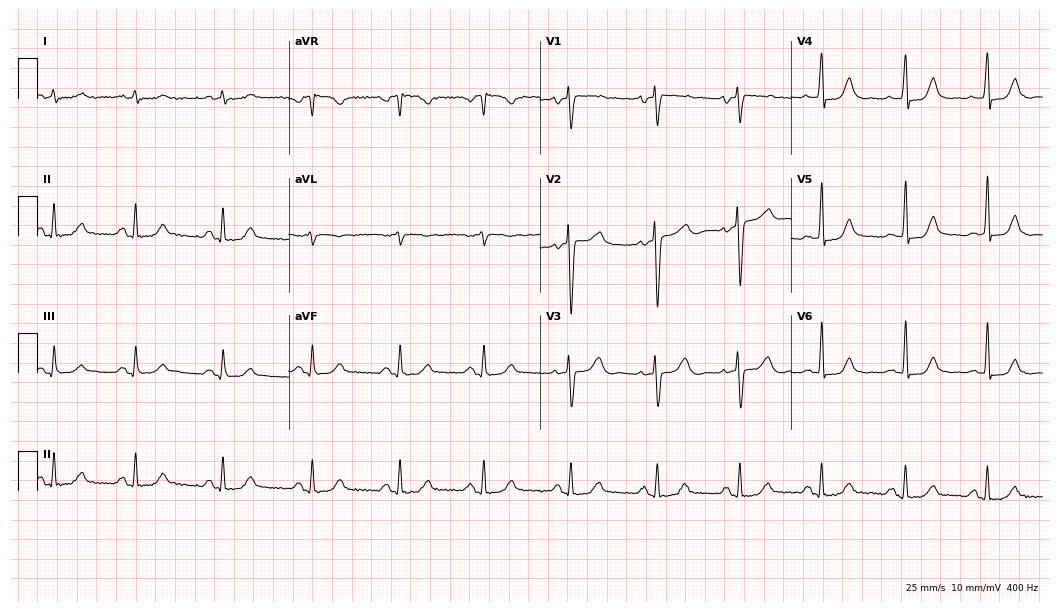
ECG (10.2-second recording at 400 Hz) — a 51-year-old female. Screened for six findings — first-degree AV block, right bundle branch block, left bundle branch block, sinus bradycardia, atrial fibrillation, sinus tachycardia — none is recorded.